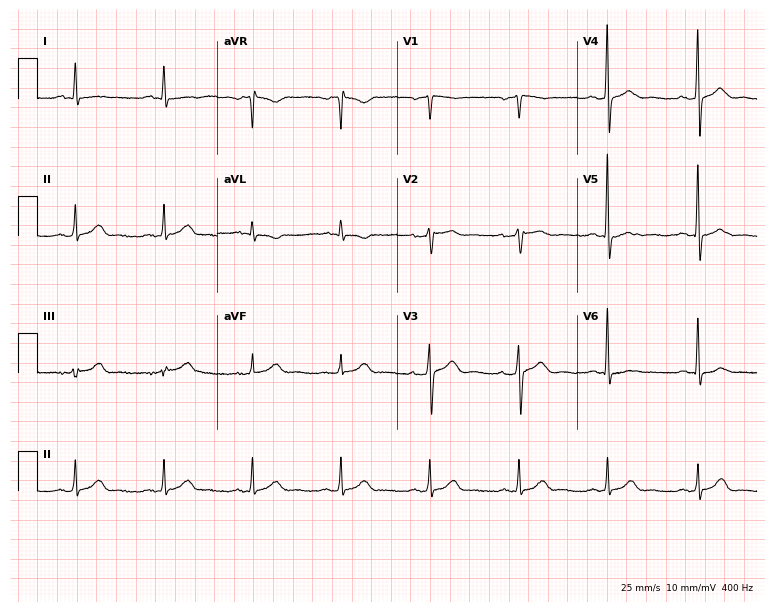
Standard 12-lead ECG recorded from a man, 82 years old. Read as a normal ECG.